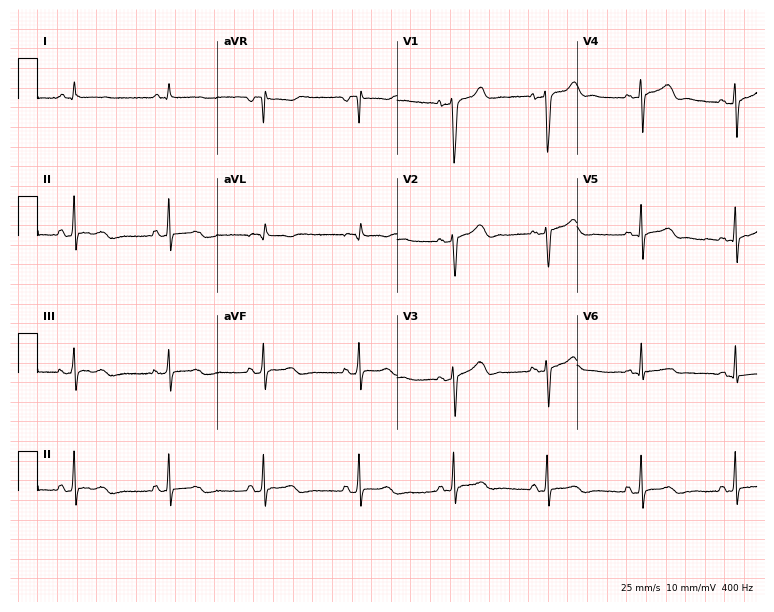
12-lead ECG from a man, 41 years old. No first-degree AV block, right bundle branch block, left bundle branch block, sinus bradycardia, atrial fibrillation or sinus tachycardia recorded for this tracing.